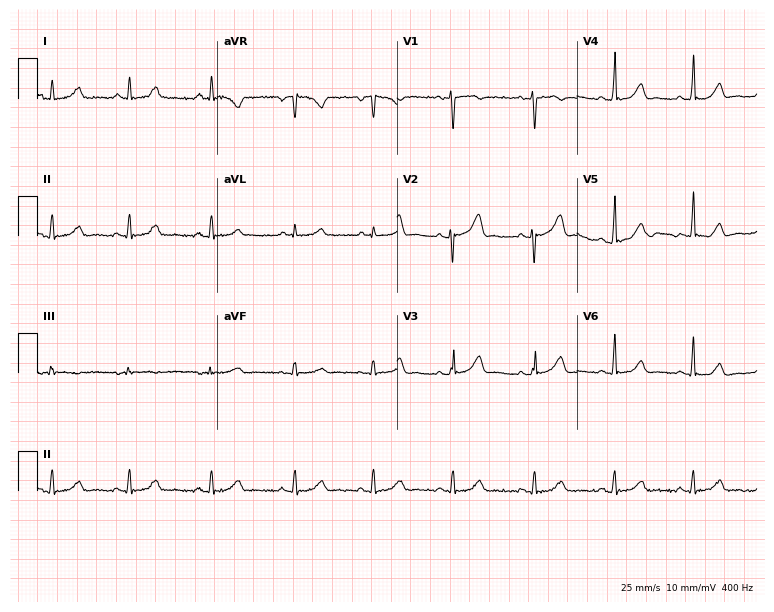
ECG — a female, 37 years old. Screened for six findings — first-degree AV block, right bundle branch block, left bundle branch block, sinus bradycardia, atrial fibrillation, sinus tachycardia — none is recorded. Other findings, if any, are not listed.